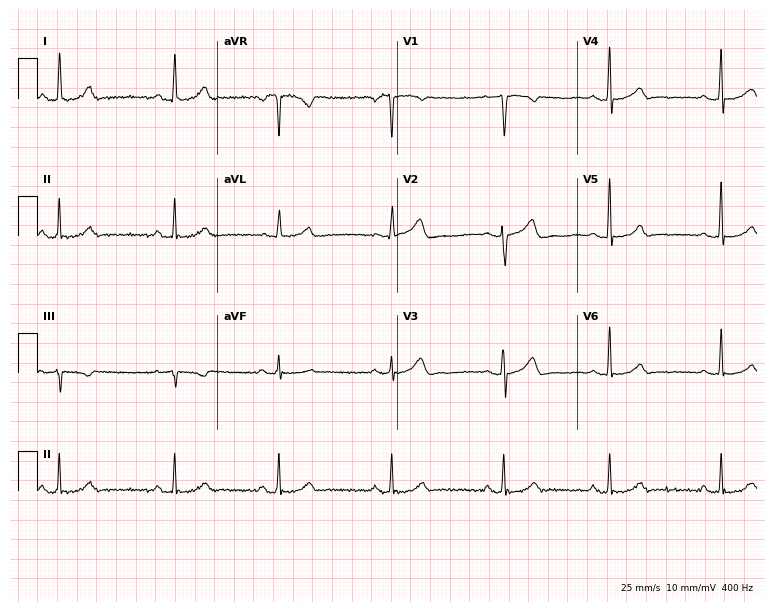
ECG (7.3-second recording at 400 Hz) — a female patient, 34 years old. Labelled as a normal ECG.